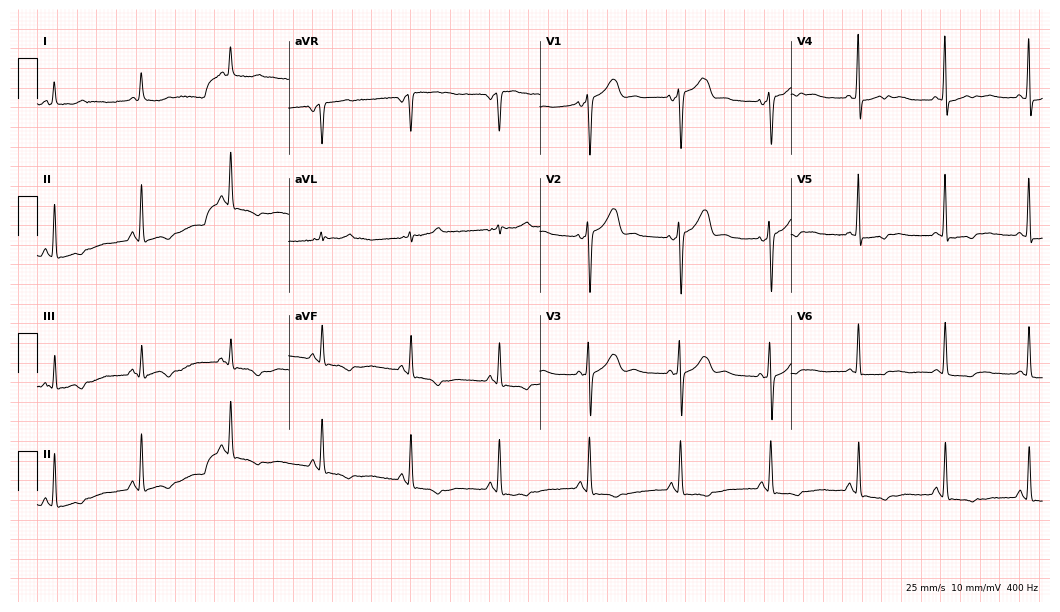
Electrocardiogram, a male patient, 63 years old. Of the six screened findings (first-degree AV block, right bundle branch block, left bundle branch block, sinus bradycardia, atrial fibrillation, sinus tachycardia), none is recorded. Only these six findings were labelled.